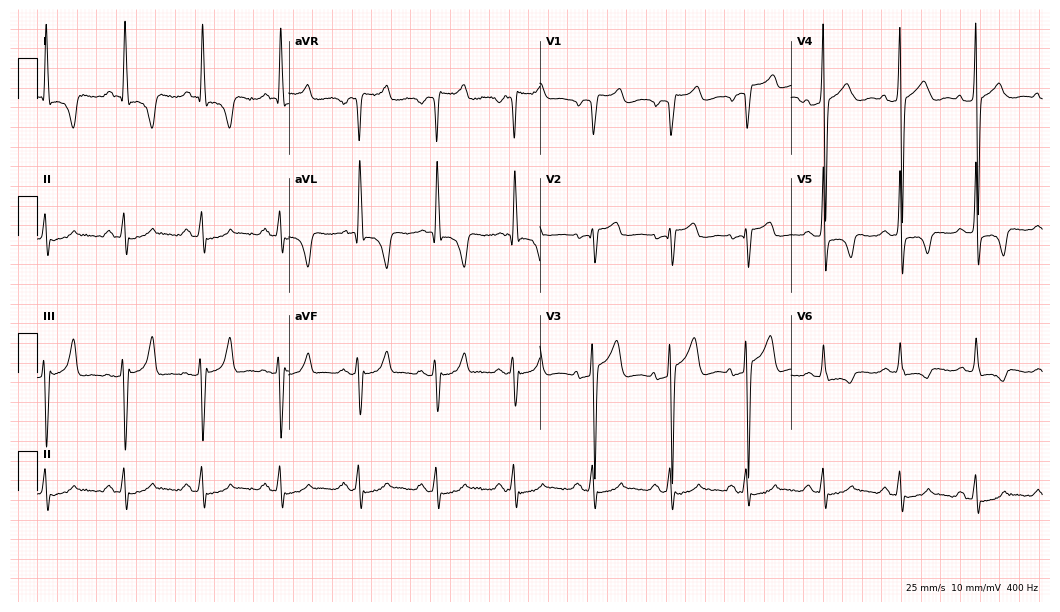
Resting 12-lead electrocardiogram. Patient: a 59-year-old male. None of these six findings is recorded: first-degree AV block, right bundle branch block, left bundle branch block, sinus bradycardia, atrial fibrillation, sinus tachycardia. Only these six findings were labelled.